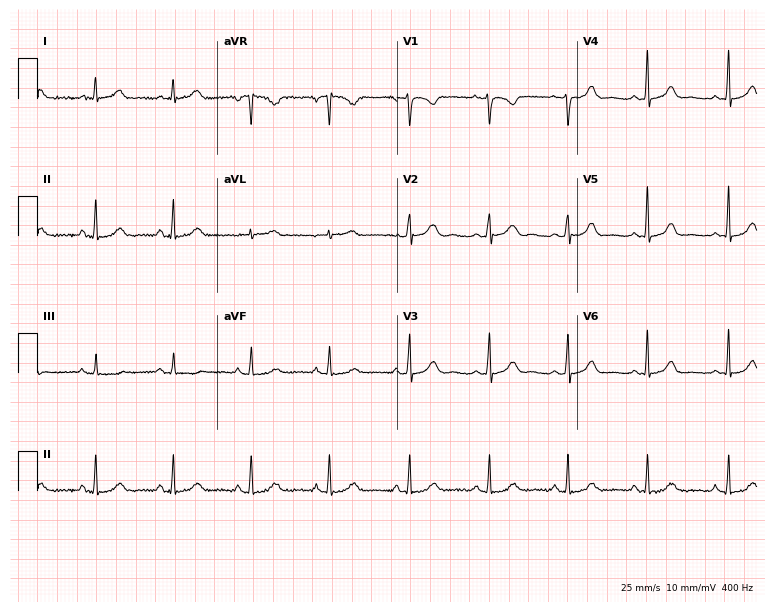
Standard 12-lead ECG recorded from a female, 48 years old. None of these six findings is recorded: first-degree AV block, right bundle branch block, left bundle branch block, sinus bradycardia, atrial fibrillation, sinus tachycardia. Findings outside these six are not listed.